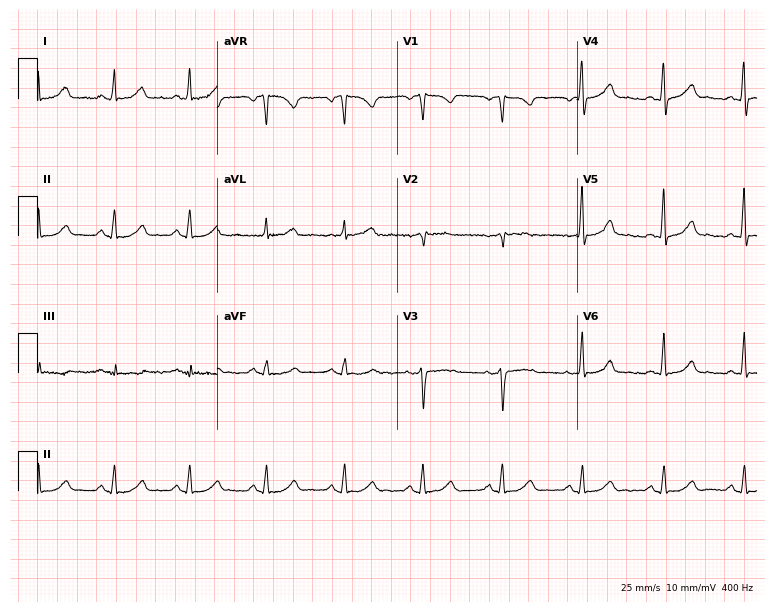
Standard 12-lead ECG recorded from a female, 42 years old. None of these six findings is recorded: first-degree AV block, right bundle branch block (RBBB), left bundle branch block (LBBB), sinus bradycardia, atrial fibrillation (AF), sinus tachycardia. Findings outside these six are not listed.